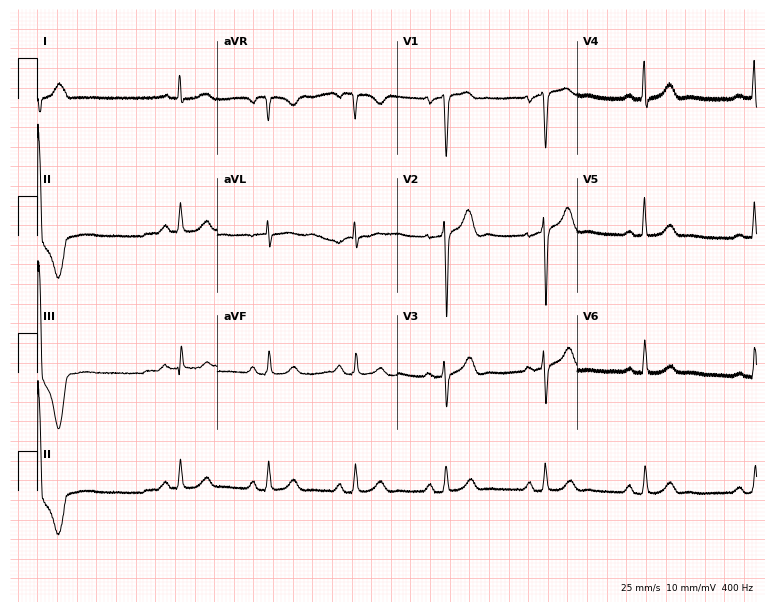
Standard 12-lead ECG recorded from a 57-year-old male patient (7.3-second recording at 400 Hz). None of these six findings is recorded: first-degree AV block, right bundle branch block, left bundle branch block, sinus bradycardia, atrial fibrillation, sinus tachycardia.